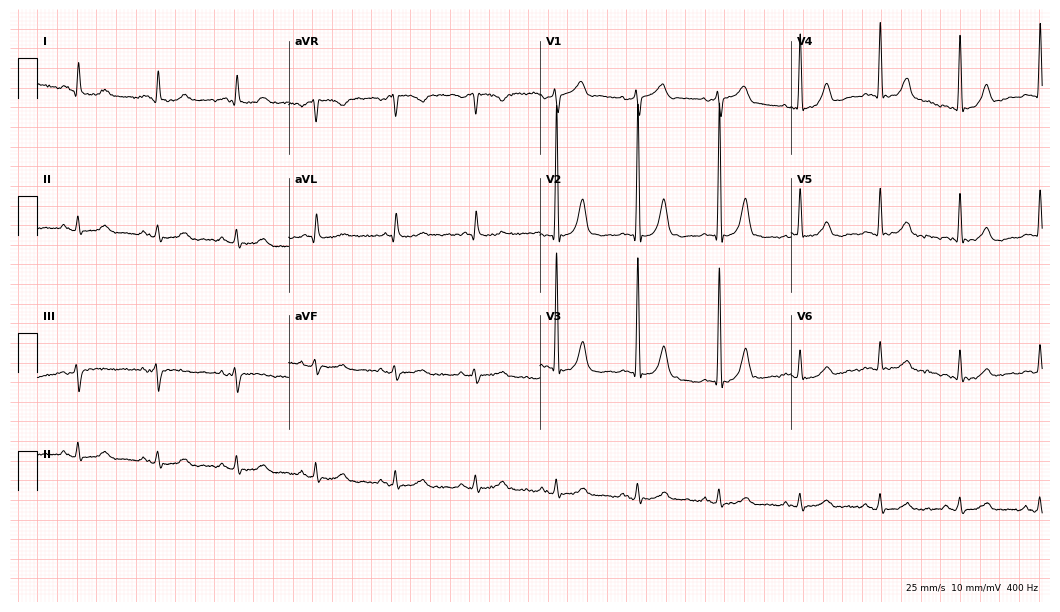
12-lead ECG from a male patient, 83 years old. Labelled as a normal ECG.